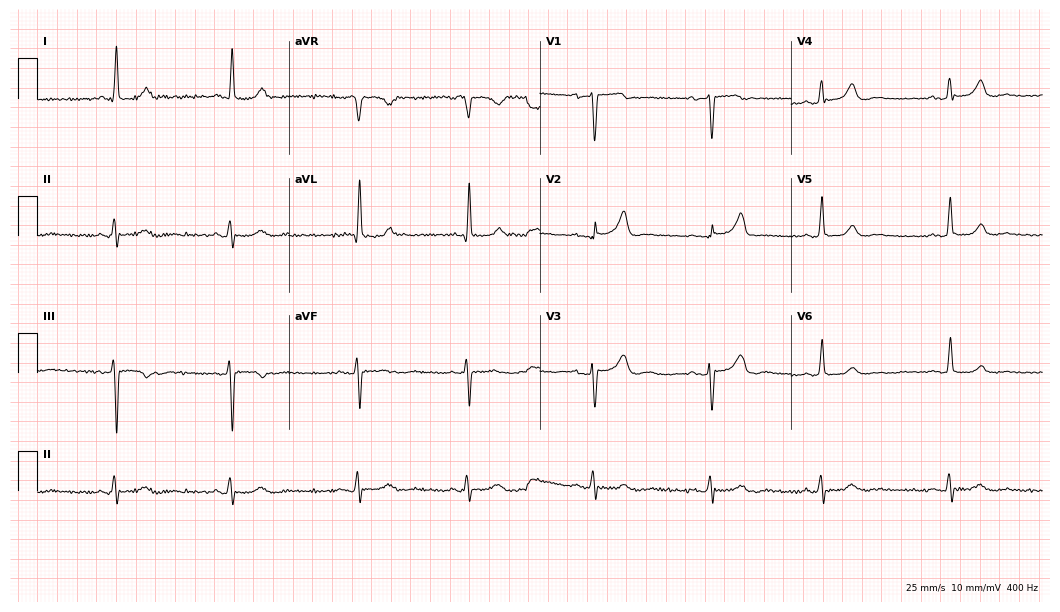
Resting 12-lead electrocardiogram. Patient: a female, 71 years old. None of these six findings is recorded: first-degree AV block, right bundle branch block, left bundle branch block, sinus bradycardia, atrial fibrillation, sinus tachycardia.